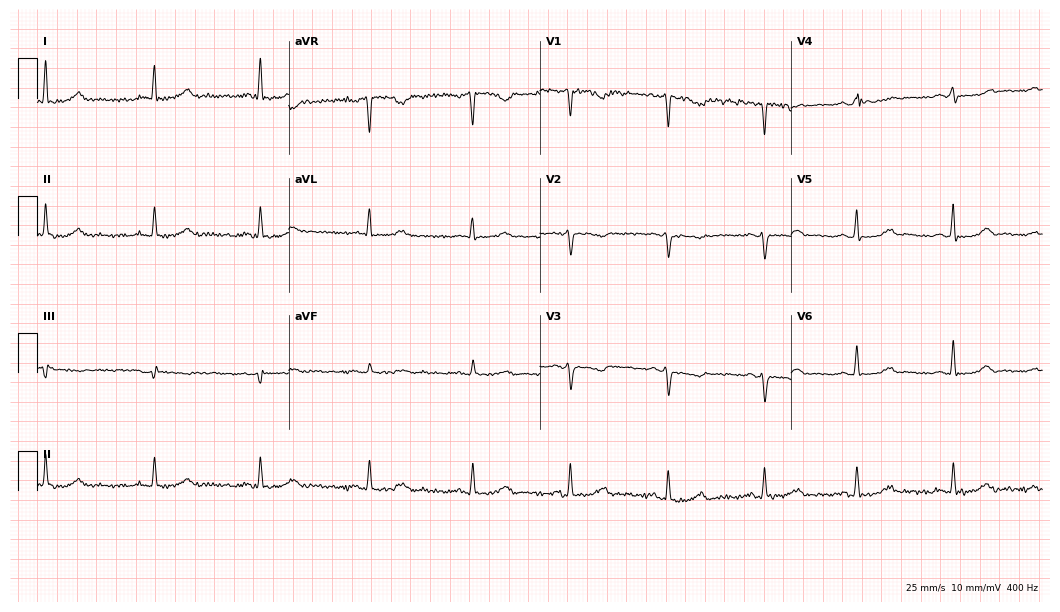
ECG (10.2-second recording at 400 Hz) — a 53-year-old female. Screened for six findings — first-degree AV block, right bundle branch block, left bundle branch block, sinus bradycardia, atrial fibrillation, sinus tachycardia — none is recorded.